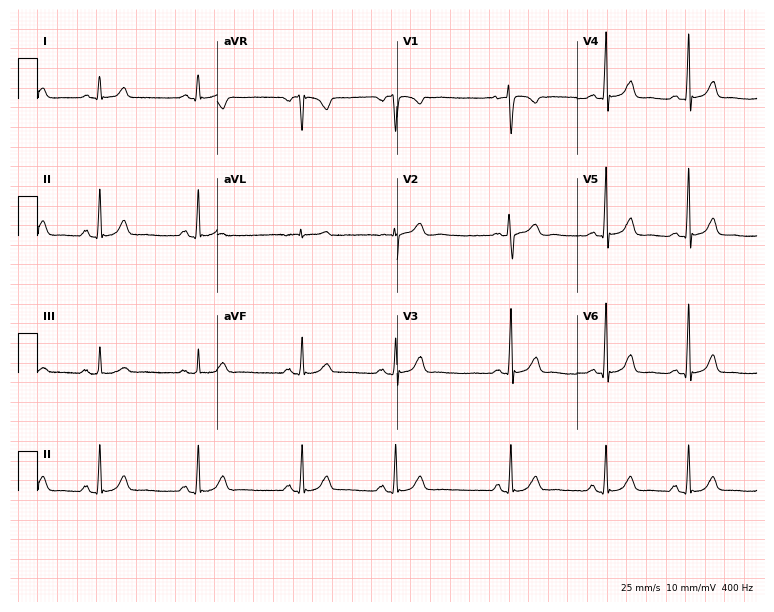
Electrocardiogram (7.3-second recording at 400 Hz), a female patient, 29 years old. Overall reading on record: normal ECG.